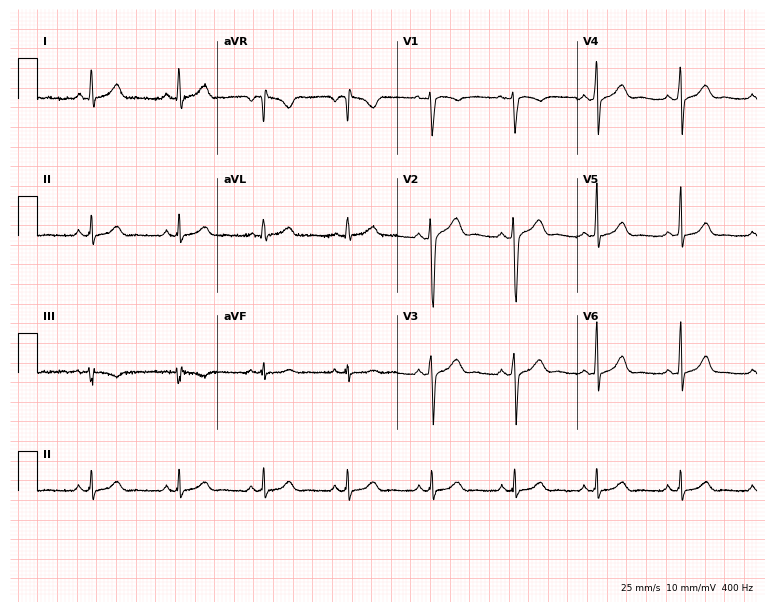
12-lead ECG from a 38-year-old man. Labelled as a normal ECG.